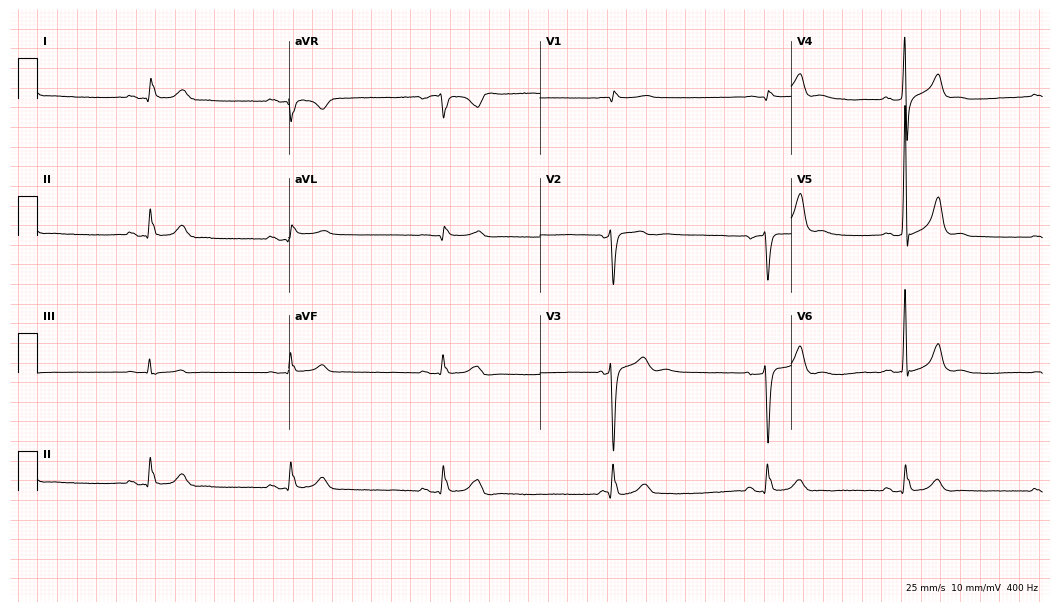
12-lead ECG (10.2-second recording at 400 Hz) from a 52-year-old man. Screened for six findings — first-degree AV block, right bundle branch block, left bundle branch block, sinus bradycardia, atrial fibrillation, sinus tachycardia — none is recorded.